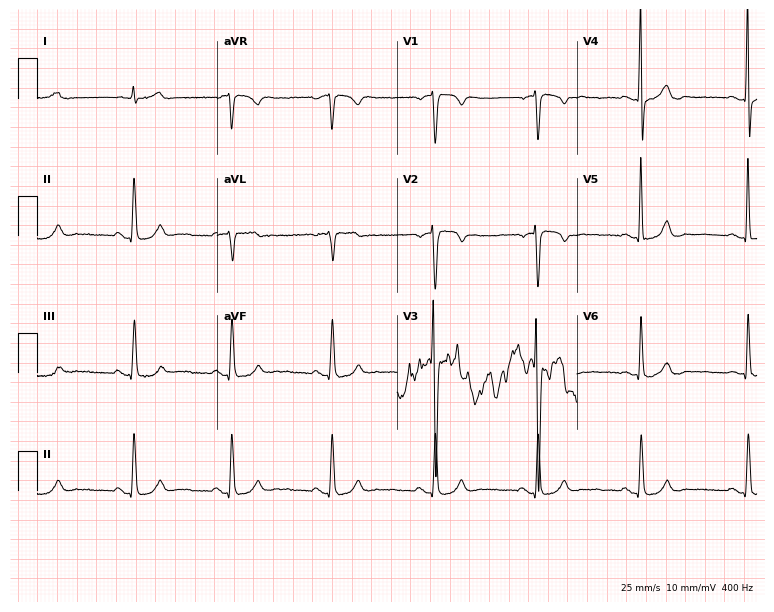
12-lead ECG from a 32-year-old man. Labelled as a normal ECG.